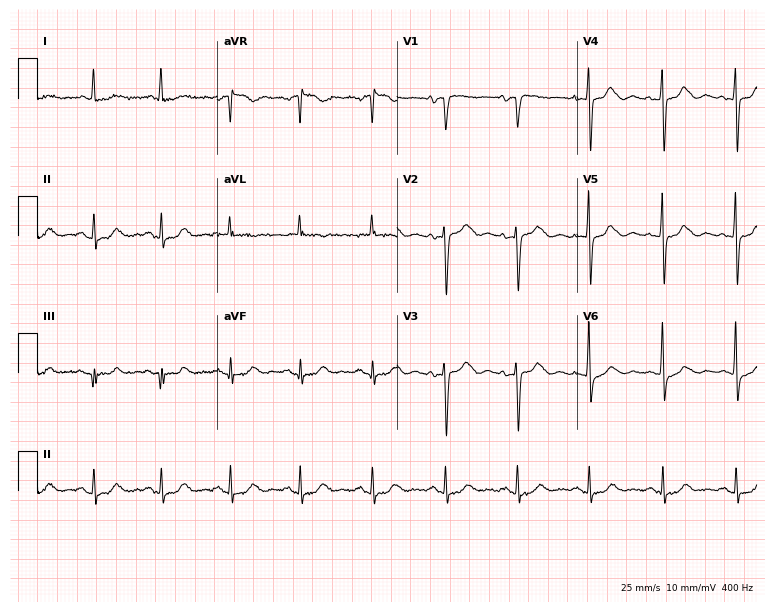
12-lead ECG from an 82-year-old woman. No first-degree AV block, right bundle branch block, left bundle branch block, sinus bradycardia, atrial fibrillation or sinus tachycardia recorded for this tracing. Only these six findings were labelled.